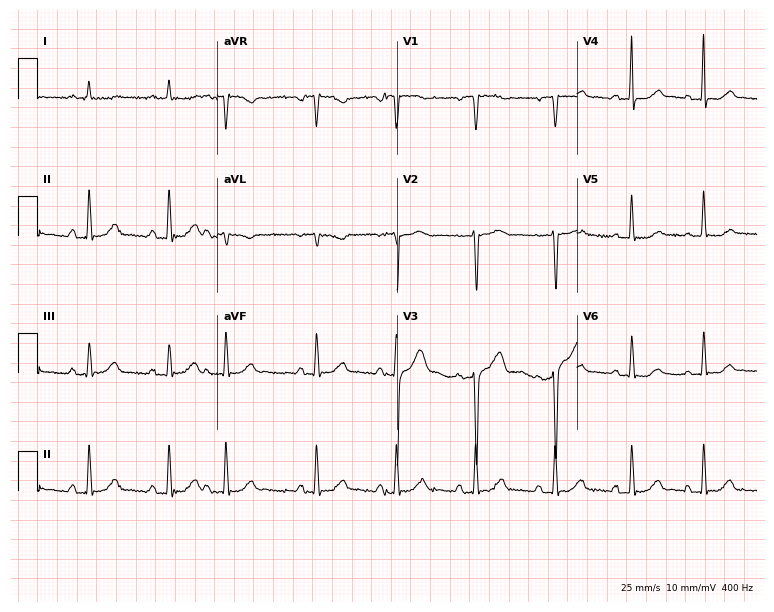
ECG (7.3-second recording at 400 Hz) — a 78-year-old woman. Screened for six findings — first-degree AV block, right bundle branch block (RBBB), left bundle branch block (LBBB), sinus bradycardia, atrial fibrillation (AF), sinus tachycardia — none is recorded. Findings outside these six are not listed.